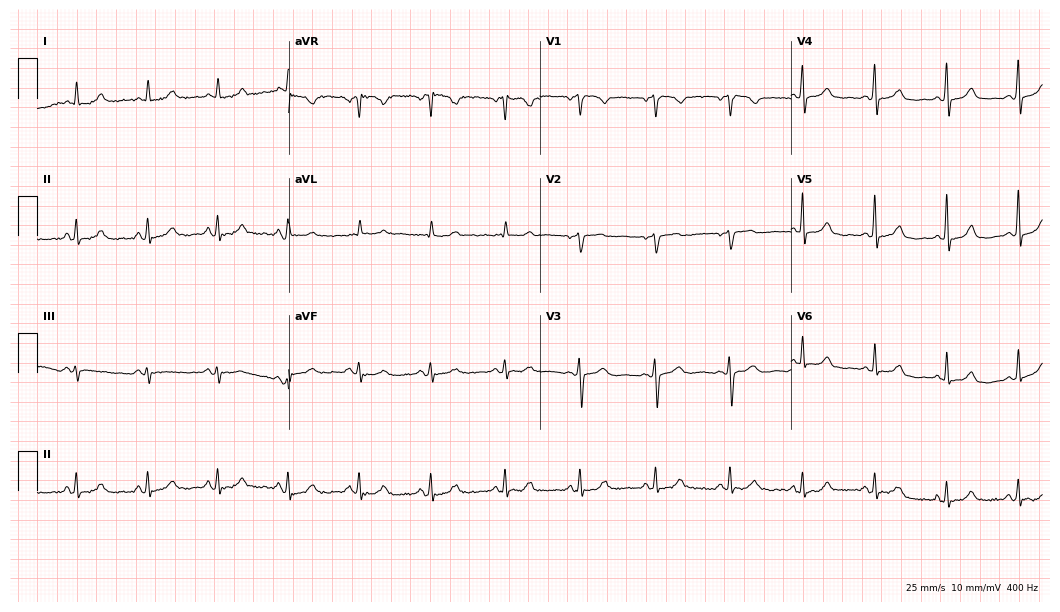
12-lead ECG from a female, 57 years old (10.2-second recording at 400 Hz). Recorded interpretation: within normal limits.